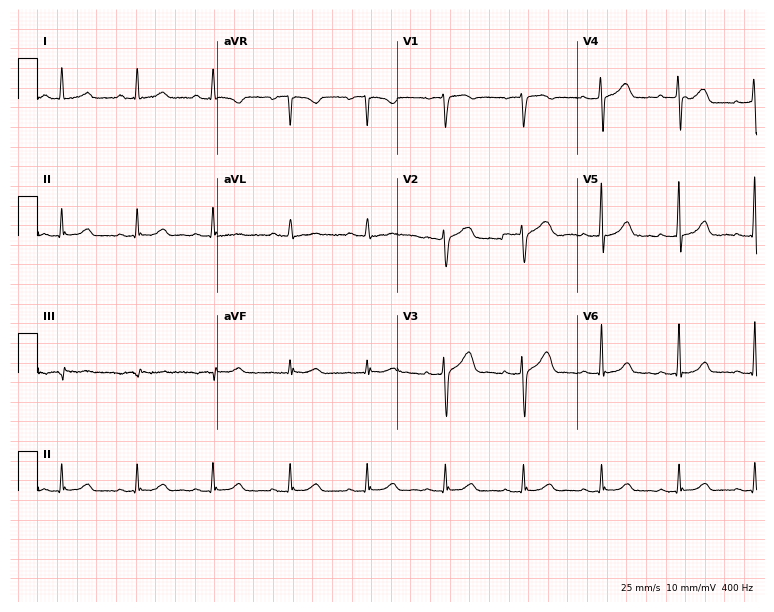
Standard 12-lead ECG recorded from a 60-year-old female patient. None of these six findings is recorded: first-degree AV block, right bundle branch block, left bundle branch block, sinus bradycardia, atrial fibrillation, sinus tachycardia. Findings outside these six are not listed.